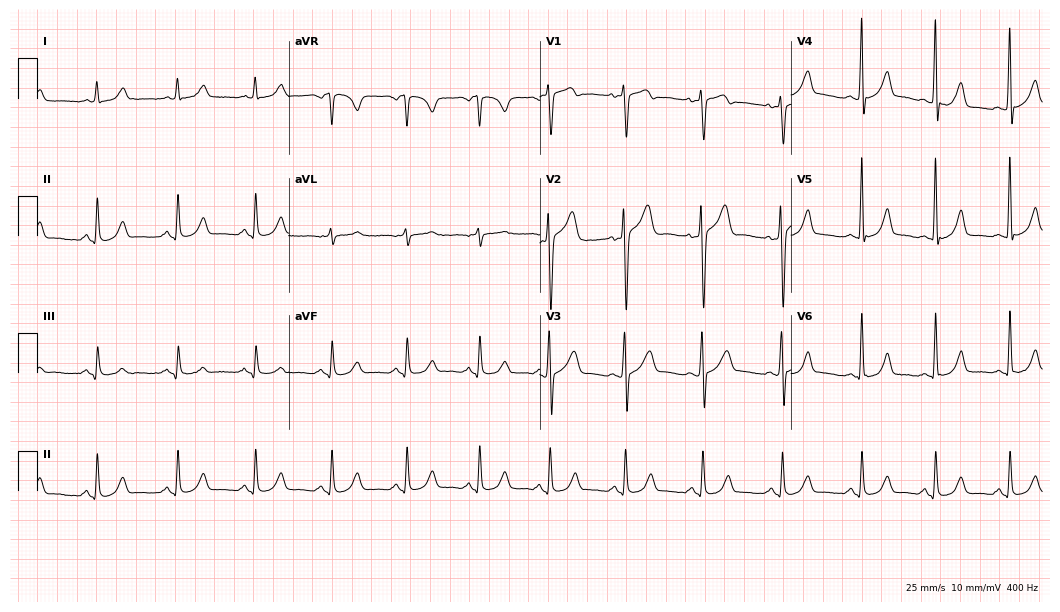
Resting 12-lead electrocardiogram. Patient: a man, 39 years old. Read as a normal ECG.